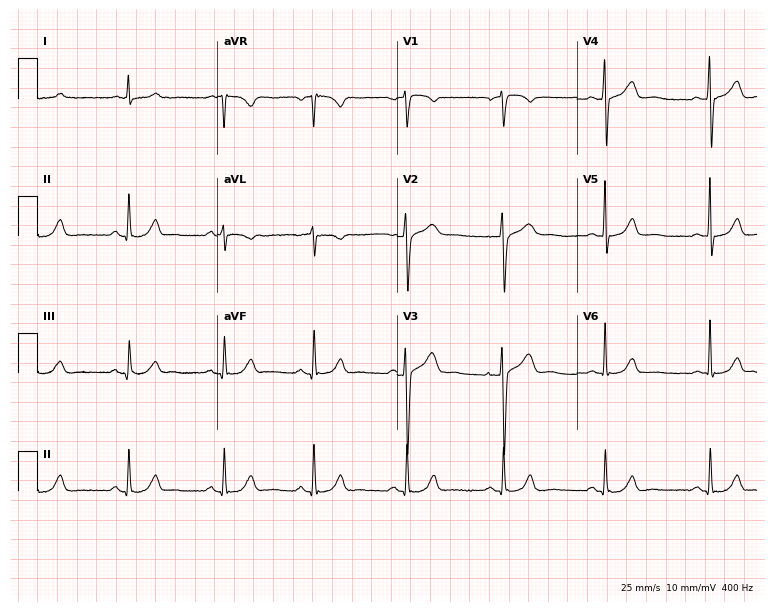
12-lead ECG from a female, 56 years old. Labelled as a normal ECG.